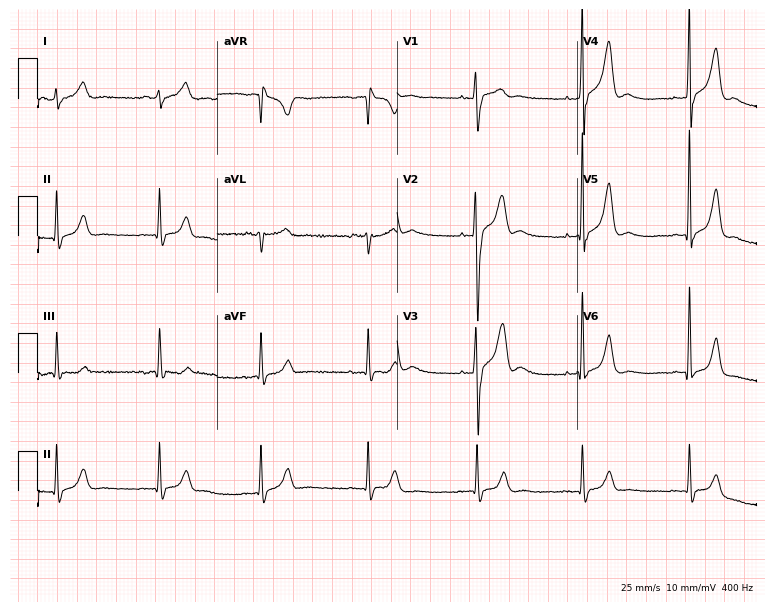
Standard 12-lead ECG recorded from a male patient, 33 years old (7.3-second recording at 400 Hz). Read as a normal ECG.